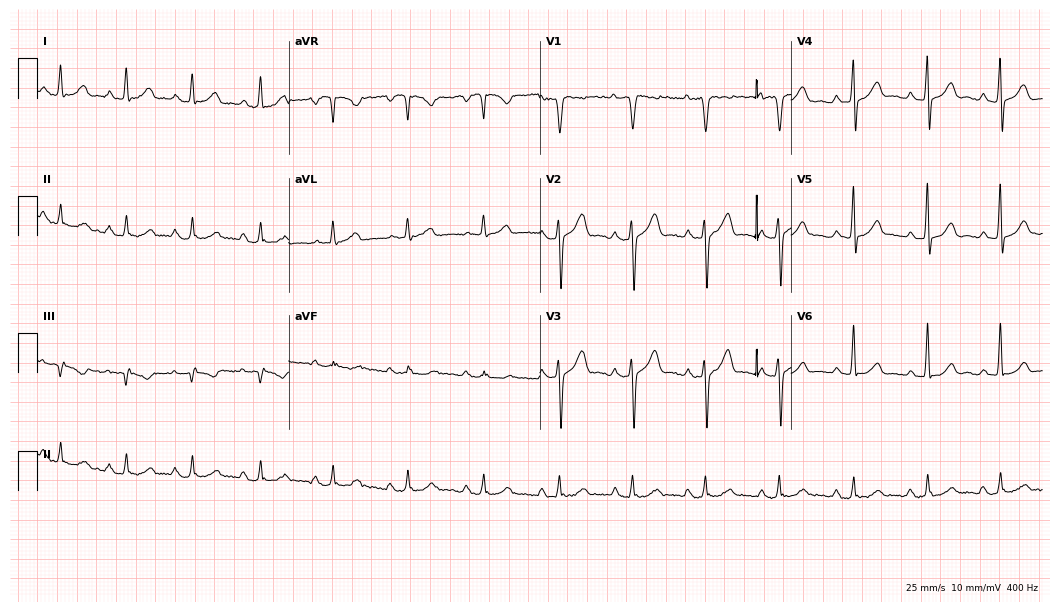
Resting 12-lead electrocardiogram (10.2-second recording at 400 Hz). Patient: a woman, 45 years old. Read as a normal ECG.